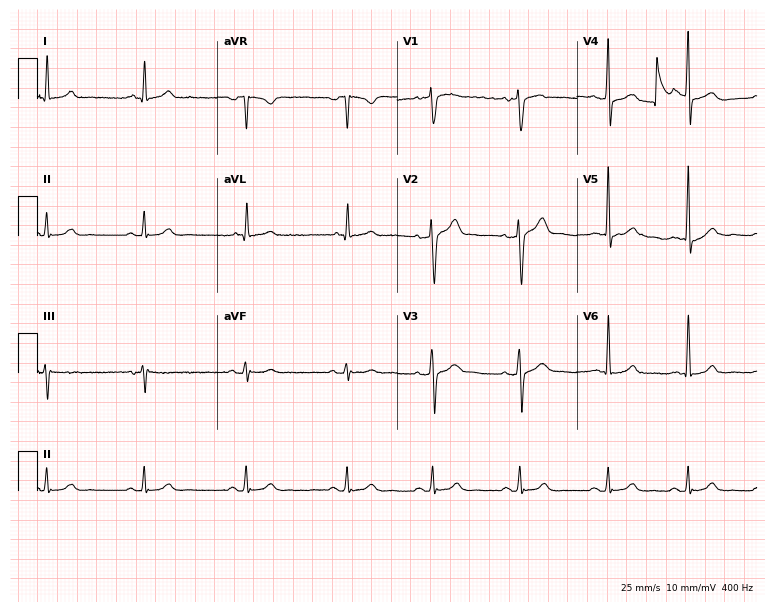
Electrocardiogram, a 49-year-old male. Overall reading on record: normal ECG.